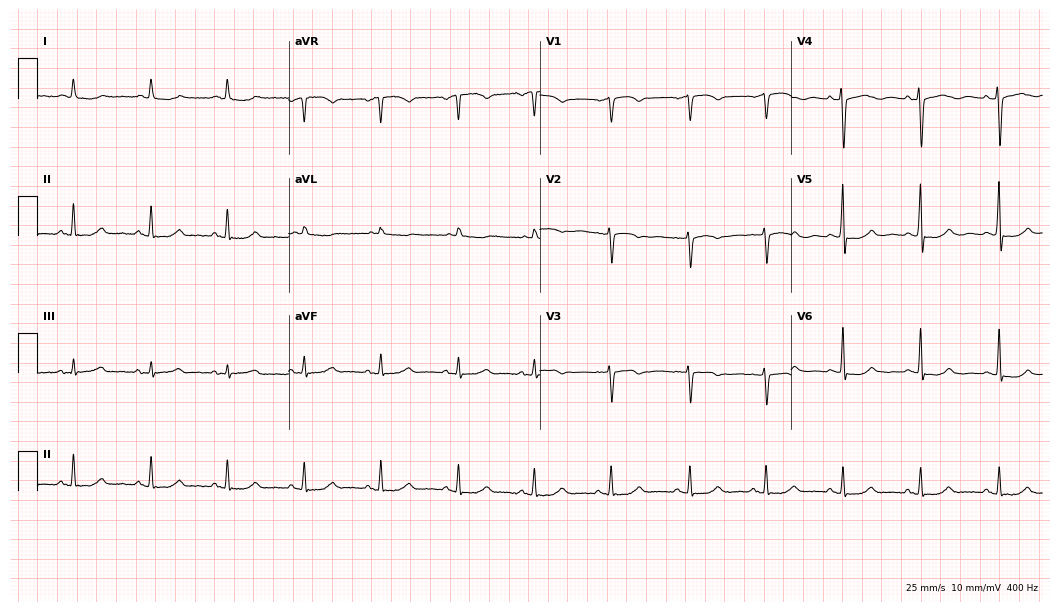
Electrocardiogram (10.2-second recording at 400 Hz), an 84-year-old female patient. Overall reading on record: normal ECG.